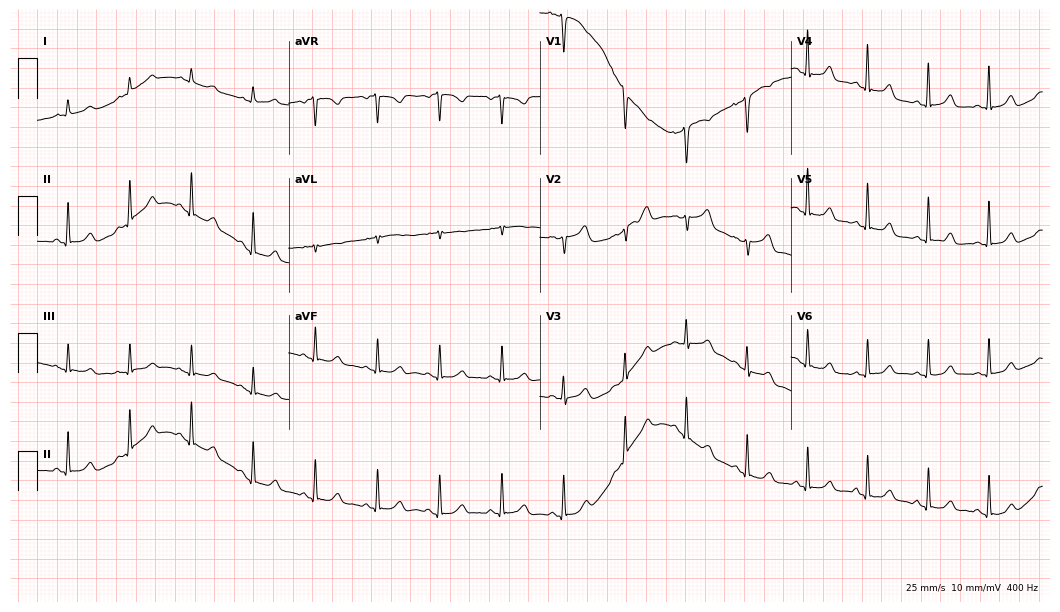
ECG — a 61-year-old woman. Labelled as a normal ECG.